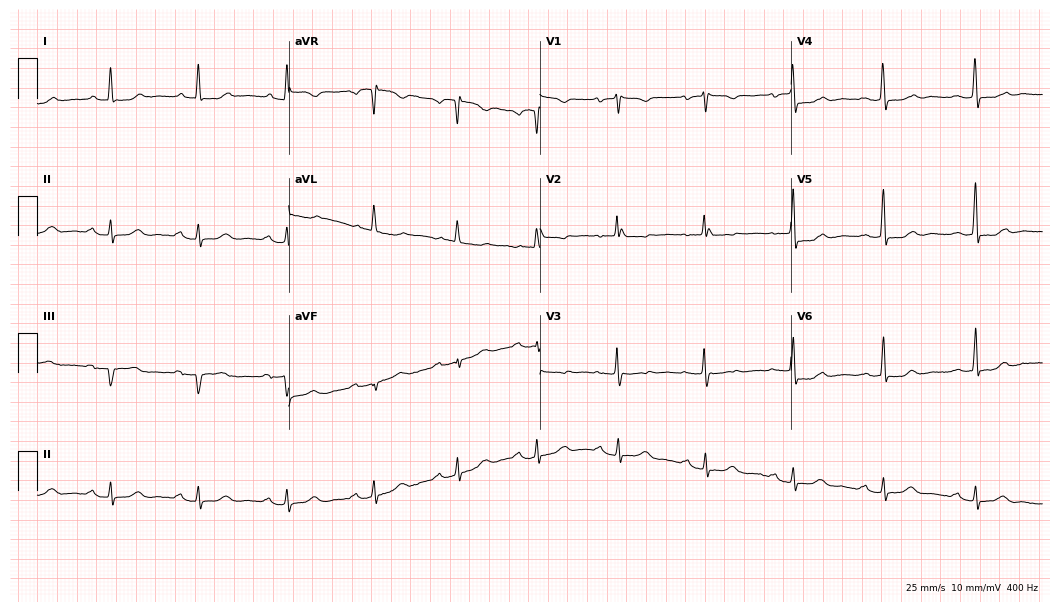
Electrocardiogram (10.2-second recording at 400 Hz), a male patient, 53 years old. Of the six screened findings (first-degree AV block, right bundle branch block, left bundle branch block, sinus bradycardia, atrial fibrillation, sinus tachycardia), none is recorded. Findings outside these six are not listed.